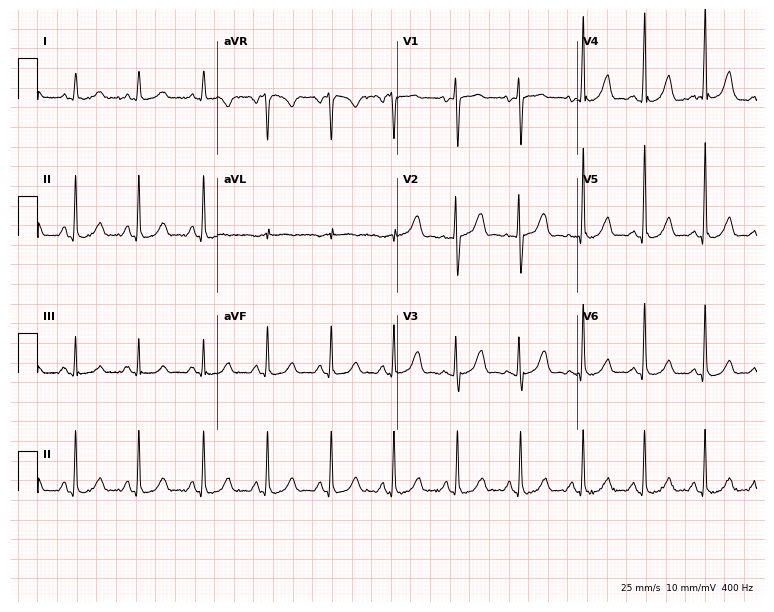
12-lead ECG from a 40-year-old woman (7.3-second recording at 400 Hz). Recorded interpretation: within normal limits.